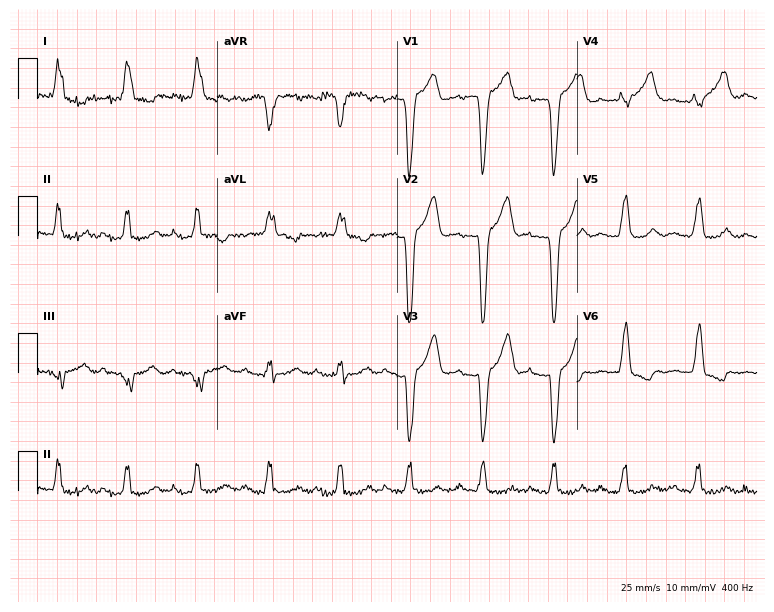
12-lead ECG from a woman, 75 years old. Shows first-degree AV block, left bundle branch block (LBBB).